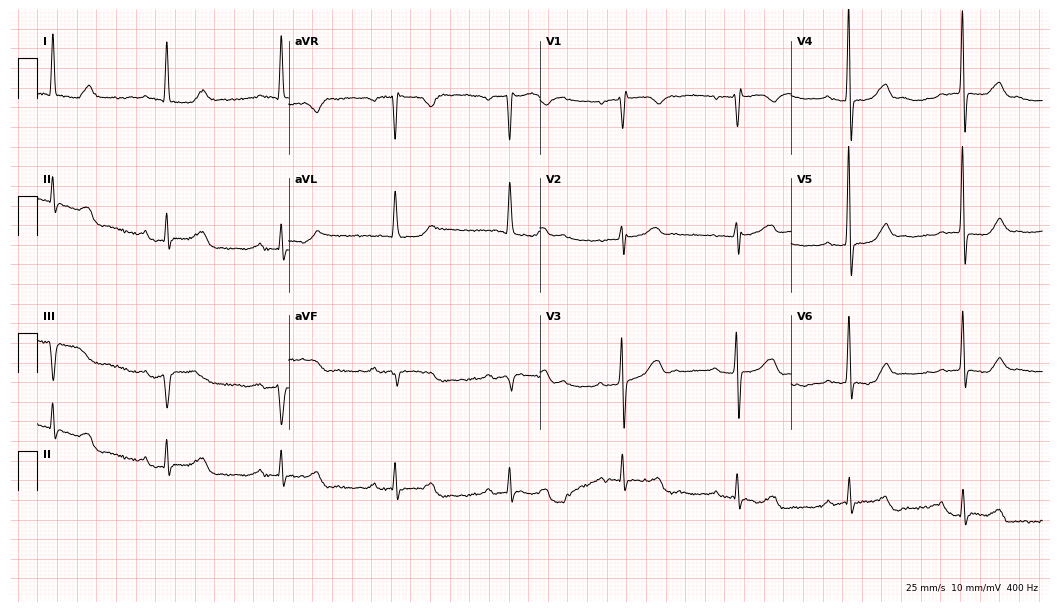
Electrocardiogram, an 85-year-old female patient. Interpretation includes first-degree AV block.